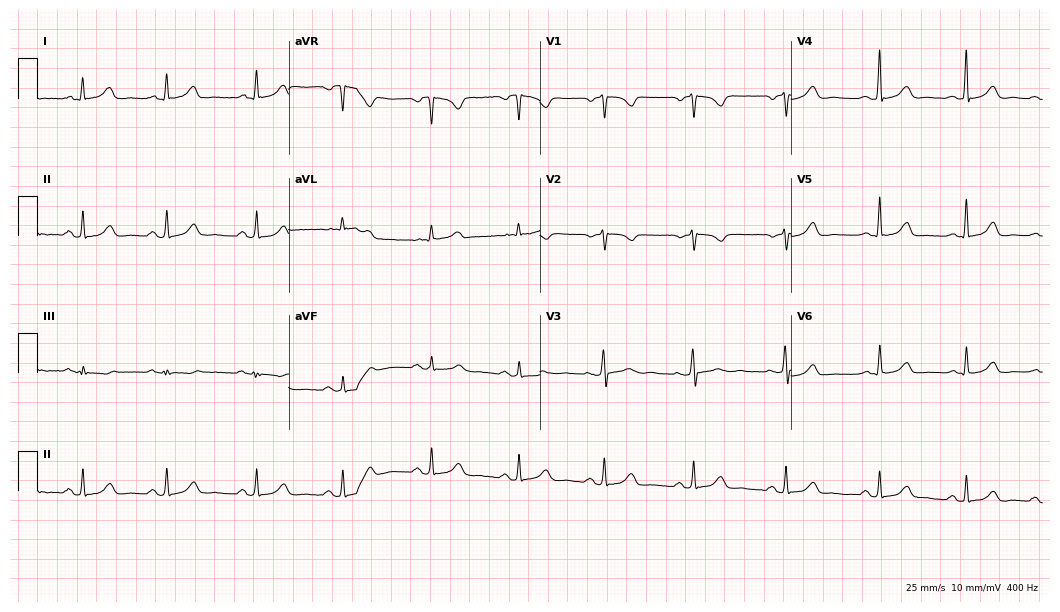
ECG (10.2-second recording at 400 Hz) — a 50-year-old female. Labelled as a normal ECG.